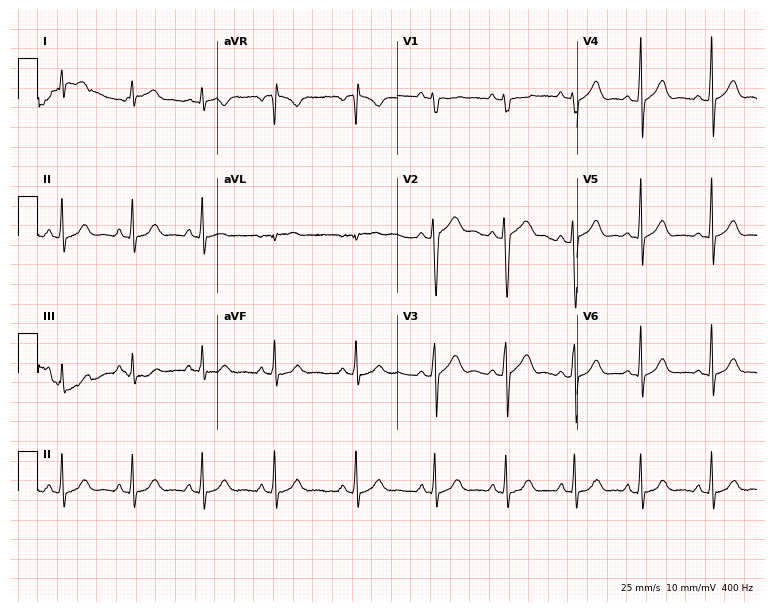
12-lead ECG (7.3-second recording at 400 Hz) from a 19-year-old male. Labelled as a normal ECG.